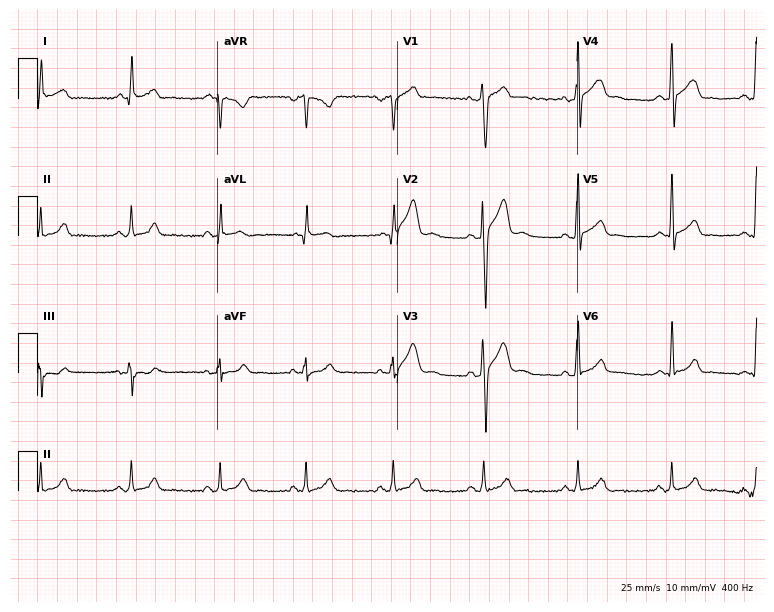
ECG — a 19-year-old male patient. Screened for six findings — first-degree AV block, right bundle branch block, left bundle branch block, sinus bradycardia, atrial fibrillation, sinus tachycardia — none is recorded. Only these six findings were labelled.